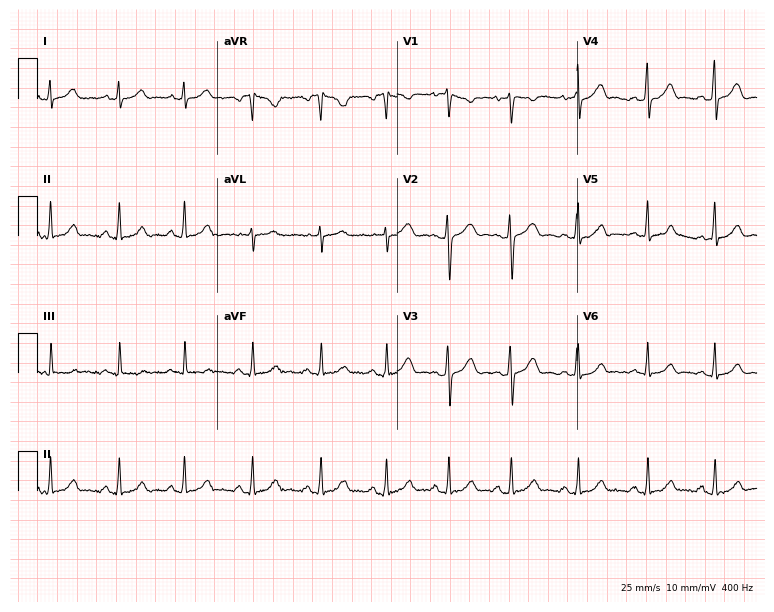
ECG — a 28-year-old female. Screened for six findings — first-degree AV block, right bundle branch block, left bundle branch block, sinus bradycardia, atrial fibrillation, sinus tachycardia — none is recorded.